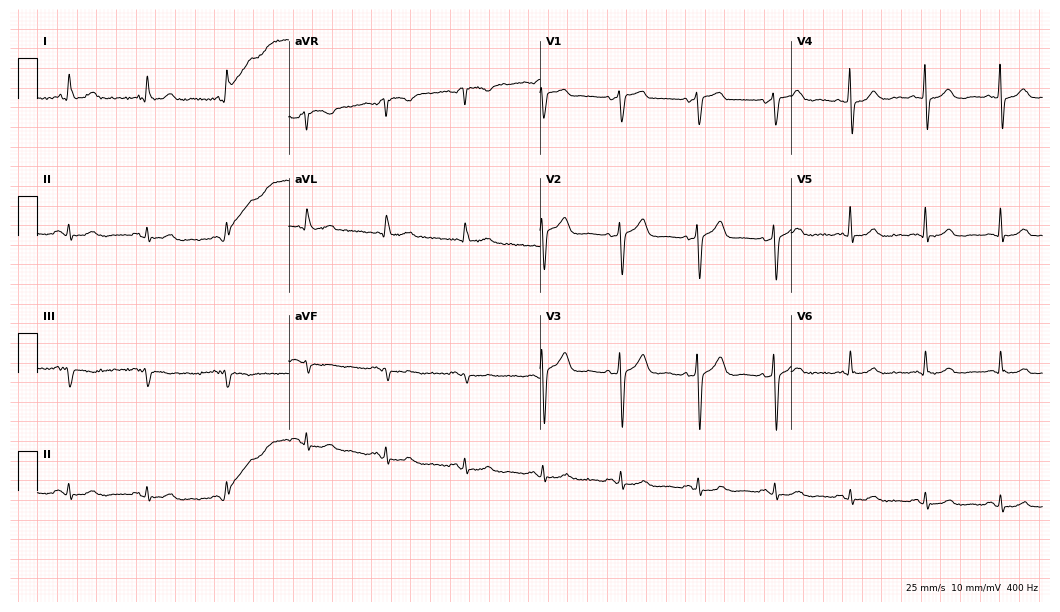
12-lead ECG from a man, 71 years old (10.2-second recording at 400 Hz). Recorded interpretation: within normal limits.